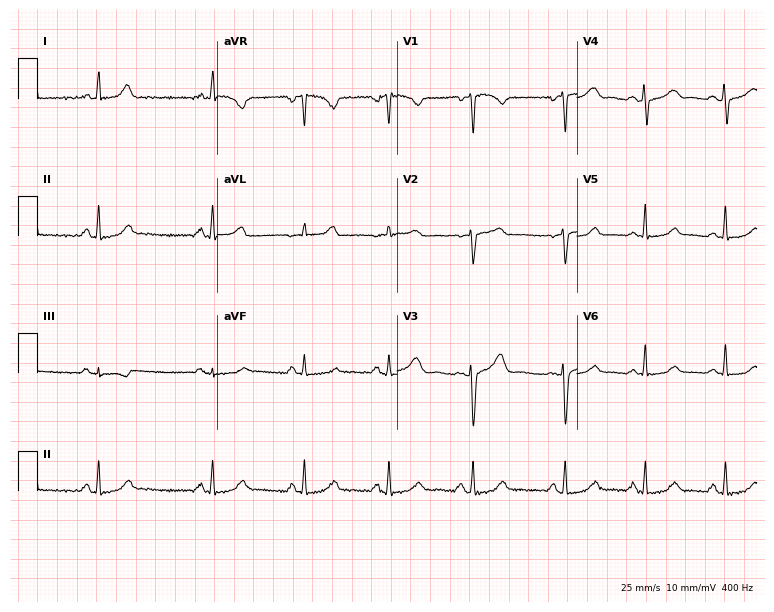
12-lead ECG from a female patient, 34 years old. Labelled as a normal ECG.